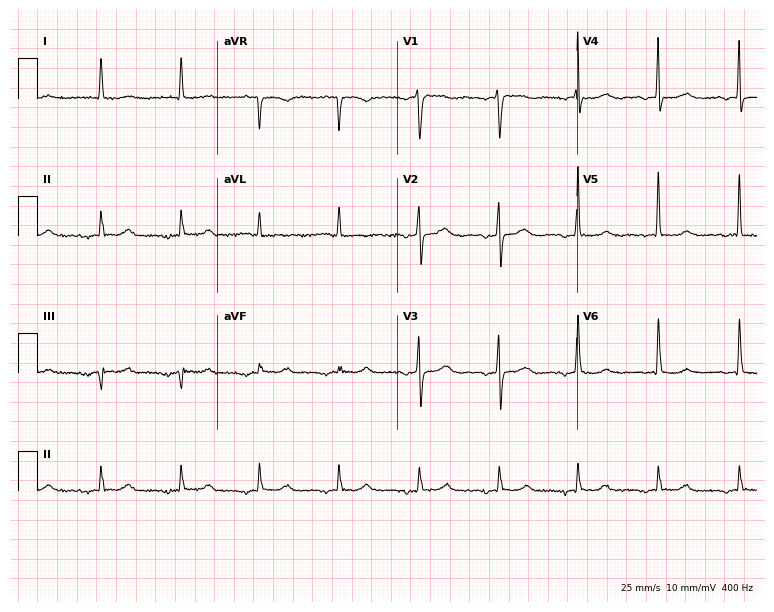
ECG — a 73-year-old female. Screened for six findings — first-degree AV block, right bundle branch block, left bundle branch block, sinus bradycardia, atrial fibrillation, sinus tachycardia — none is recorded.